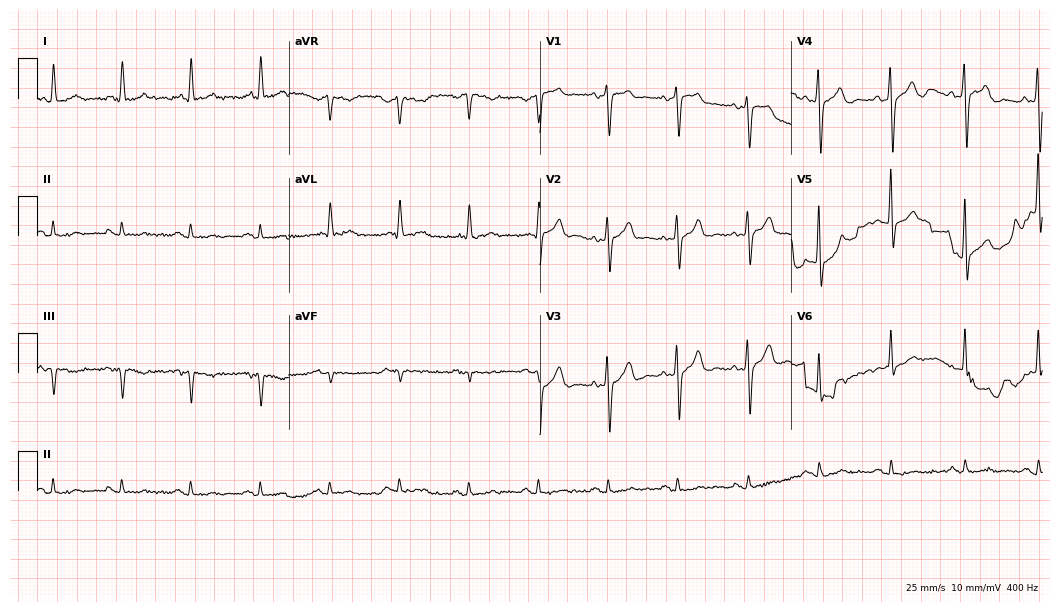
12-lead ECG from a 78-year-old male patient. Screened for six findings — first-degree AV block, right bundle branch block, left bundle branch block, sinus bradycardia, atrial fibrillation, sinus tachycardia — none is recorded. Other findings, if any, are not listed.